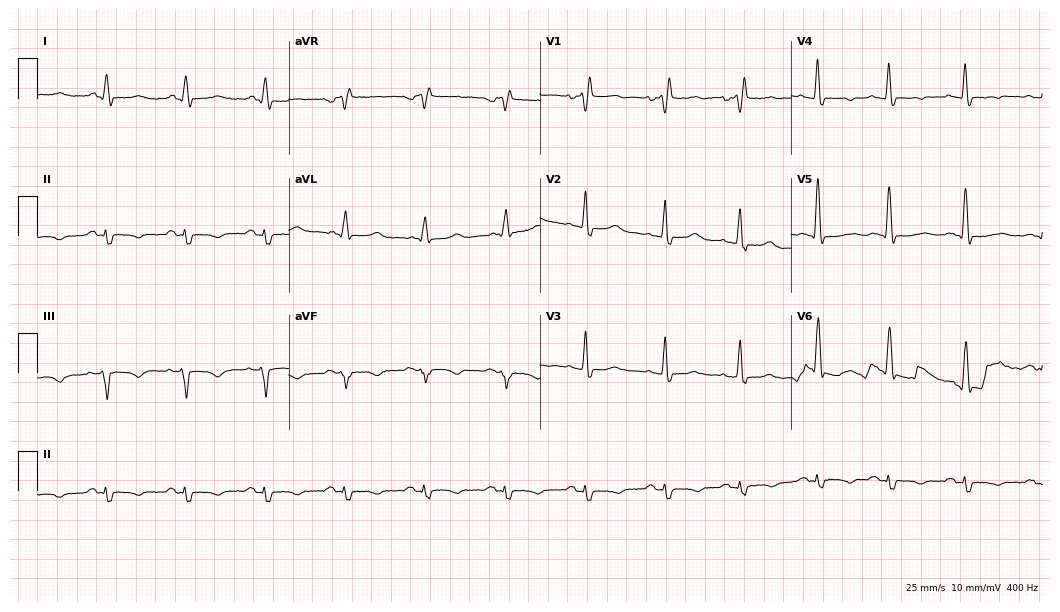
12-lead ECG from an 83-year-old female. Shows right bundle branch block (RBBB).